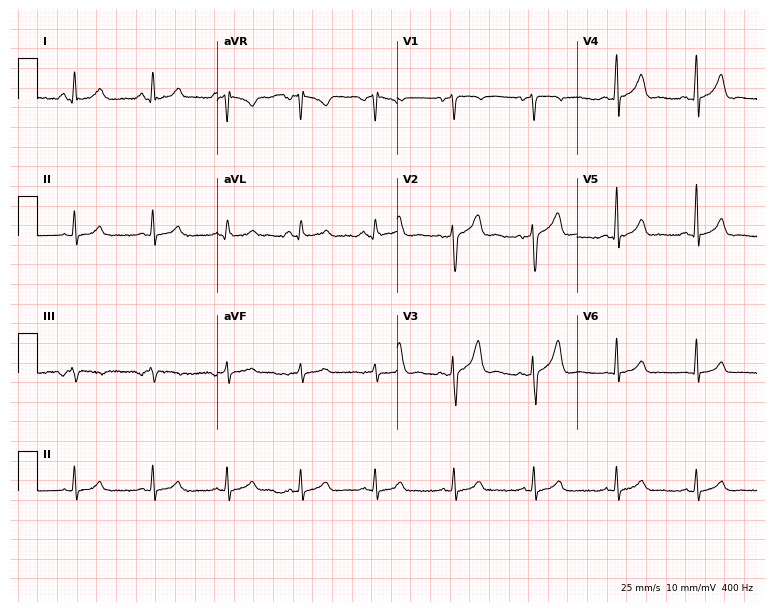
Standard 12-lead ECG recorded from a 44-year-old male patient. Read as a normal ECG.